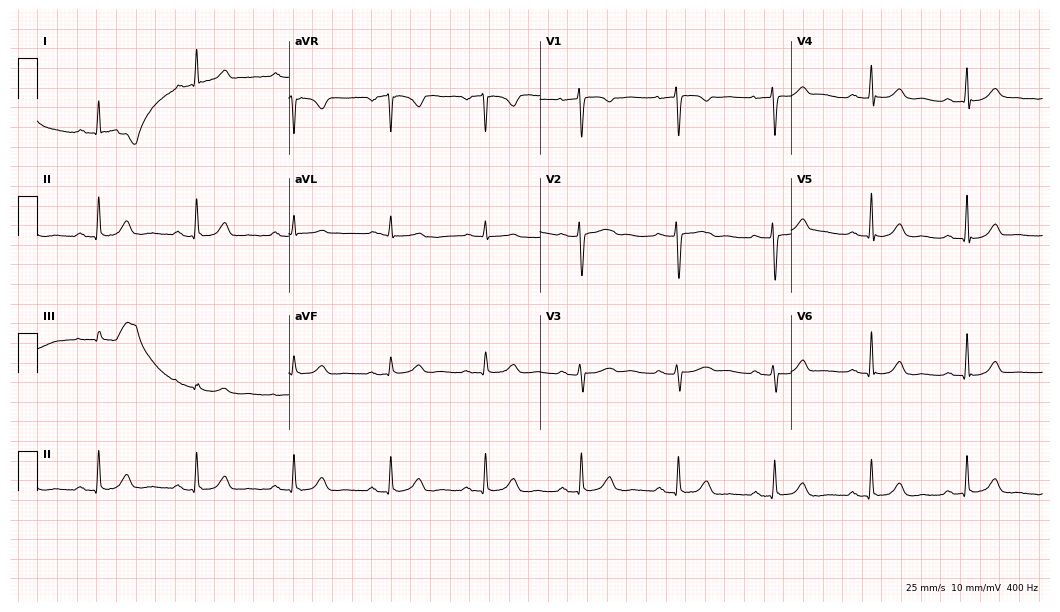
12-lead ECG from a female, 52 years old. Screened for six findings — first-degree AV block, right bundle branch block, left bundle branch block, sinus bradycardia, atrial fibrillation, sinus tachycardia — none is recorded.